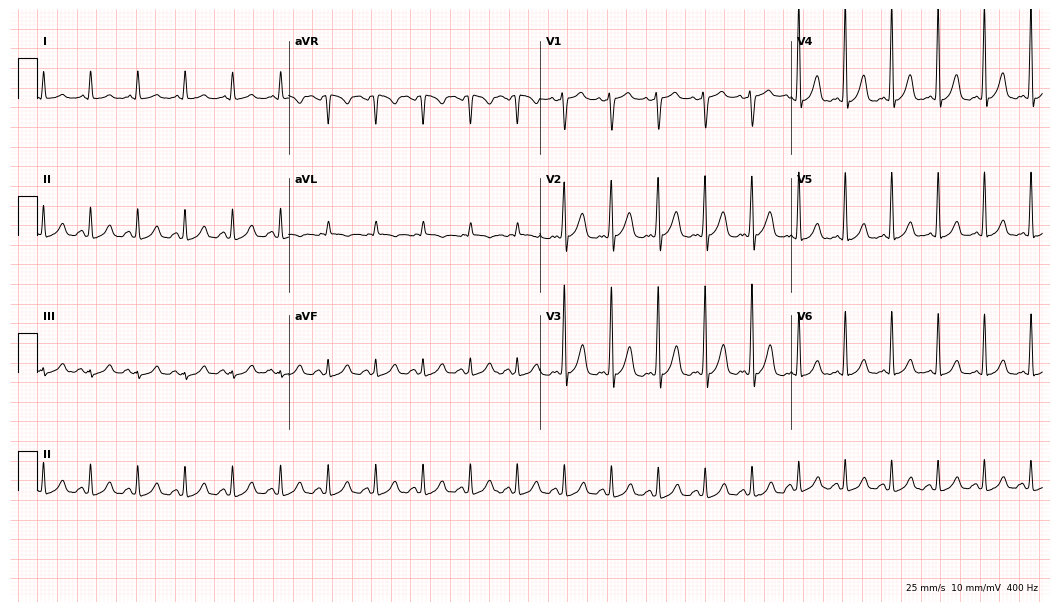
Electrocardiogram, a male patient, 51 years old. Interpretation includes sinus tachycardia (a sinus rate of 100 beats per minute or more).